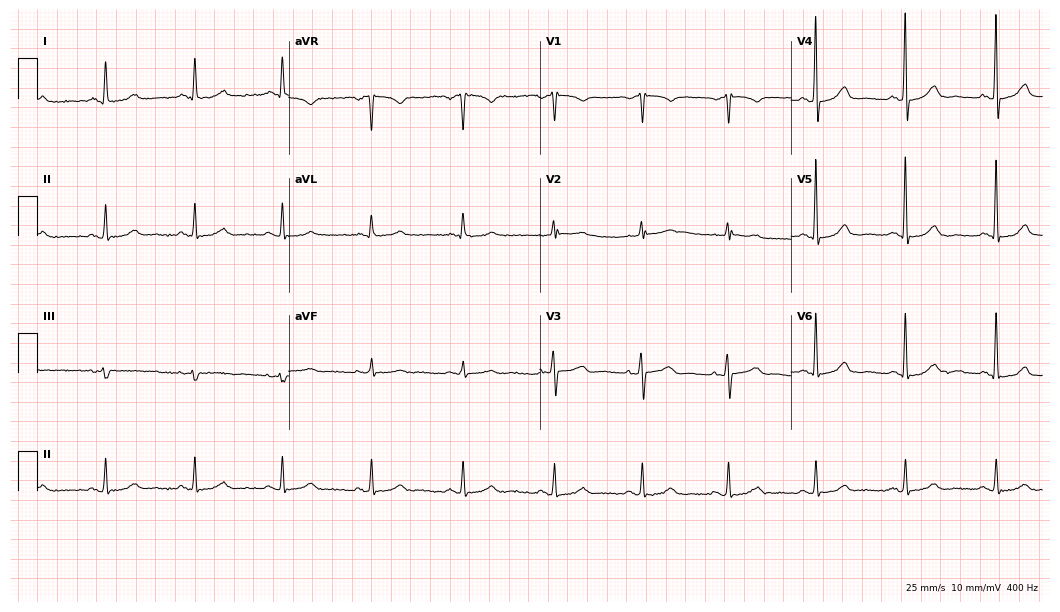
Standard 12-lead ECG recorded from a 73-year-old woman (10.2-second recording at 400 Hz). Read as a normal ECG.